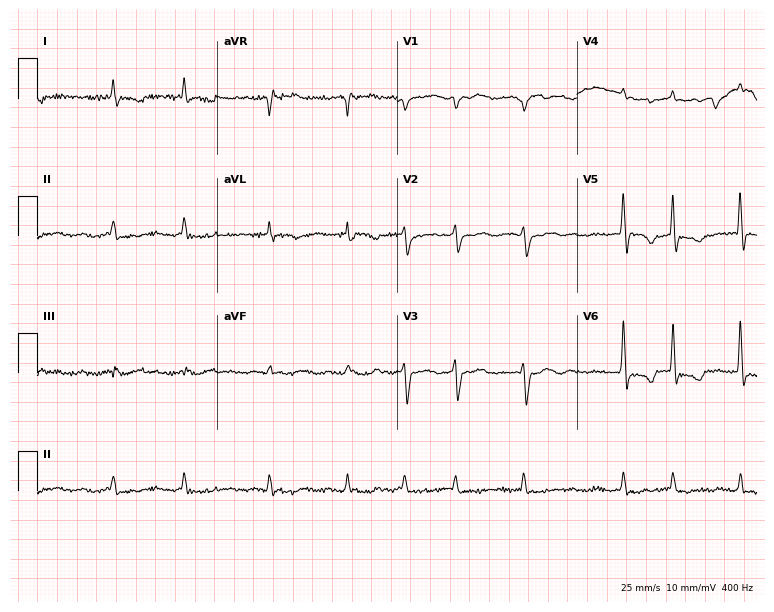
Electrocardiogram, an 88-year-old female patient. Interpretation includes atrial fibrillation.